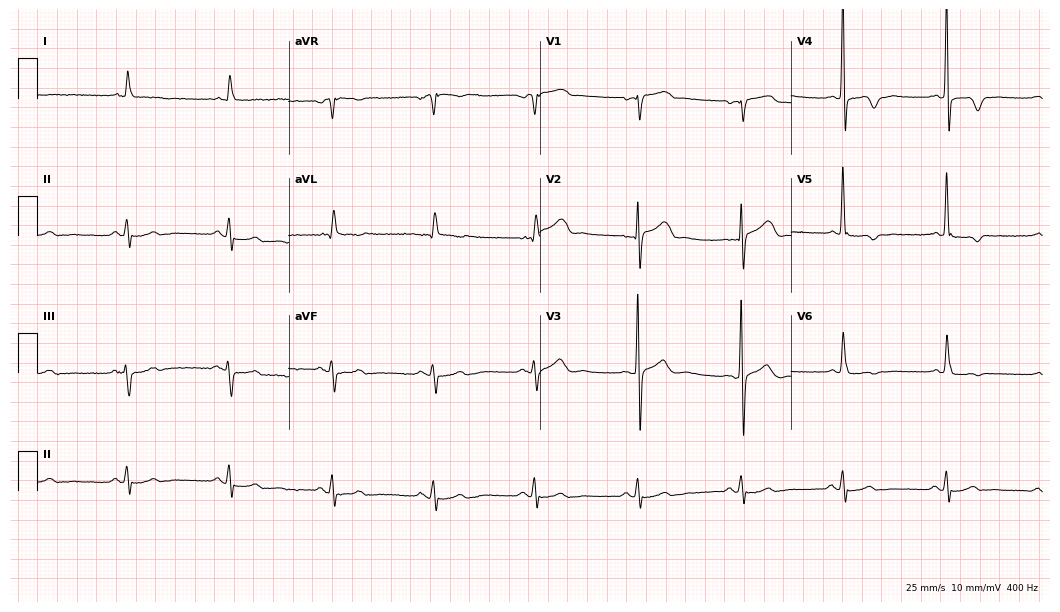
Standard 12-lead ECG recorded from an 84-year-old male patient. None of these six findings is recorded: first-degree AV block, right bundle branch block, left bundle branch block, sinus bradycardia, atrial fibrillation, sinus tachycardia. Other findings, if any, are not listed.